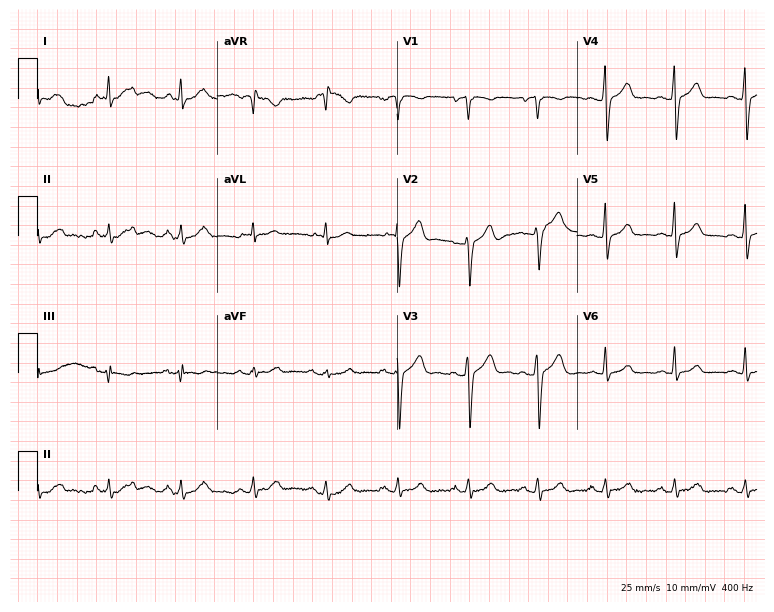
12-lead ECG from a 44-year-old male patient. Labelled as a normal ECG.